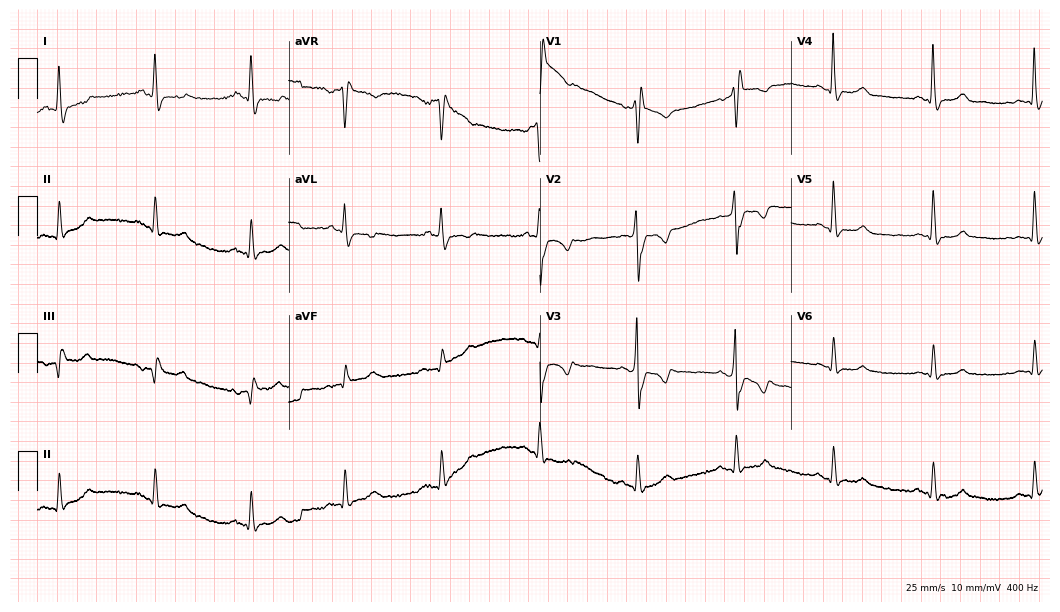
Resting 12-lead electrocardiogram (10.2-second recording at 400 Hz). Patient: a 73-year-old female. None of these six findings is recorded: first-degree AV block, right bundle branch block, left bundle branch block, sinus bradycardia, atrial fibrillation, sinus tachycardia. Only these six findings were labelled.